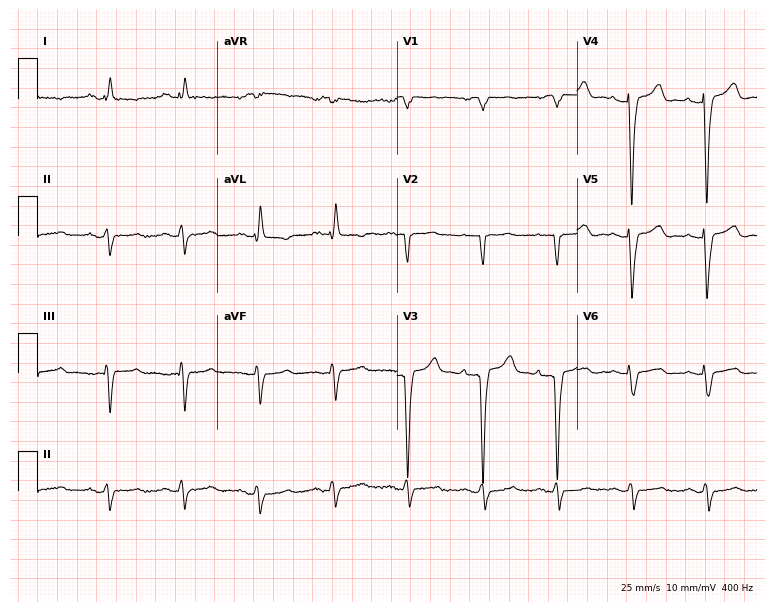
ECG — a 56-year-old female. Screened for six findings — first-degree AV block, right bundle branch block (RBBB), left bundle branch block (LBBB), sinus bradycardia, atrial fibrillation (AF), sinus tachycardia — none is recorded.